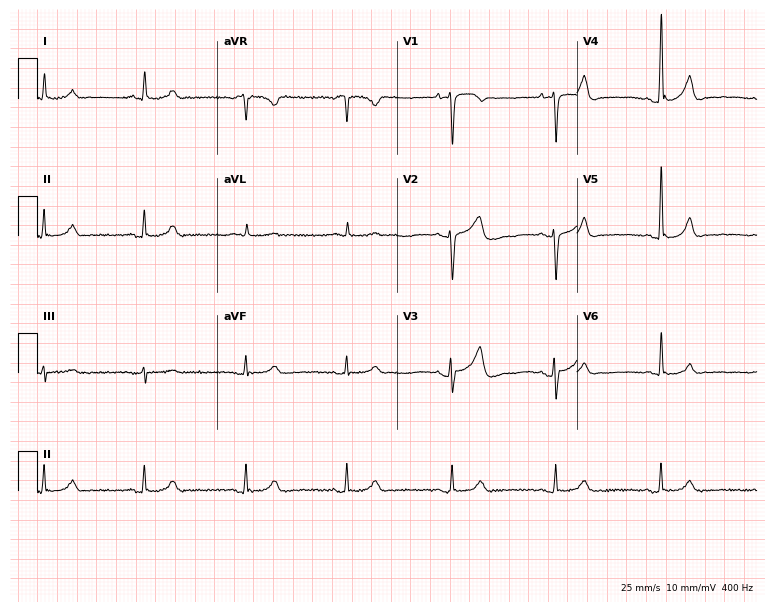
ECG (7.3-second recording at 400 Hz) — a male patient, 47 years old. Labelled as a normal ECG.